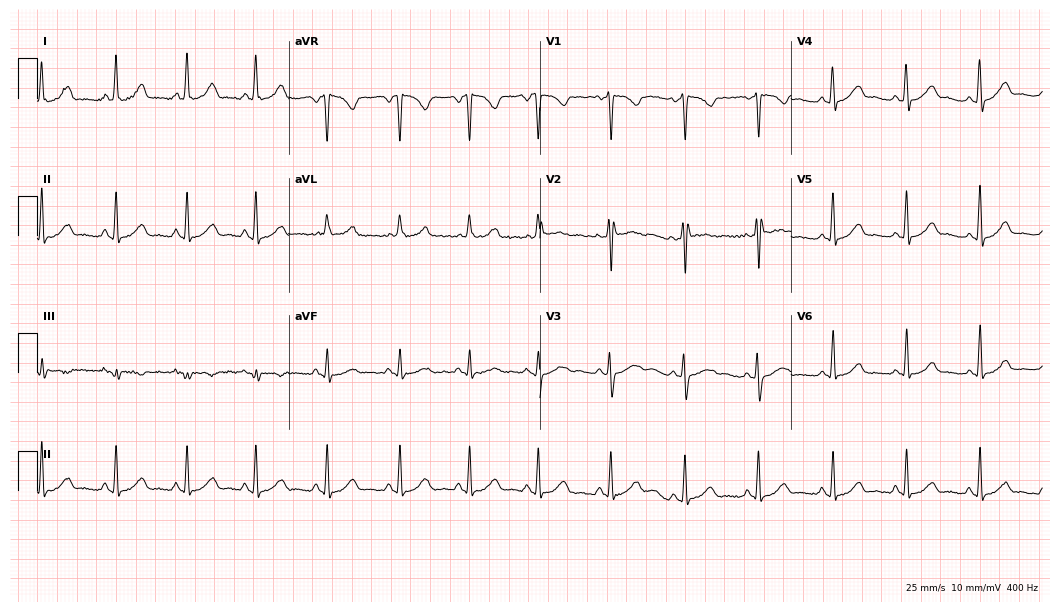
12-lead ECG (10.2-second recording at 400 Hz) from a woman, 34 years old. Labelled as a normal ECG.